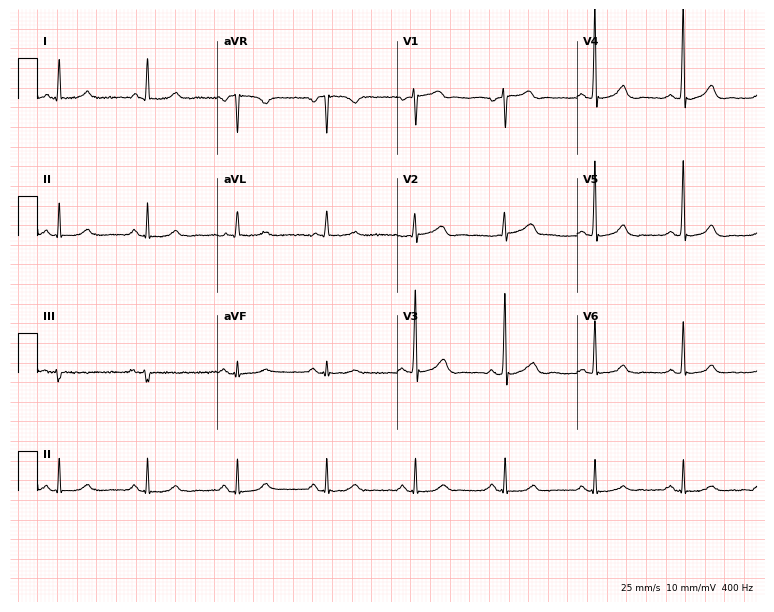
12-lead ECG from a male, 77 years old. Recorded interpretation: within normal limits.